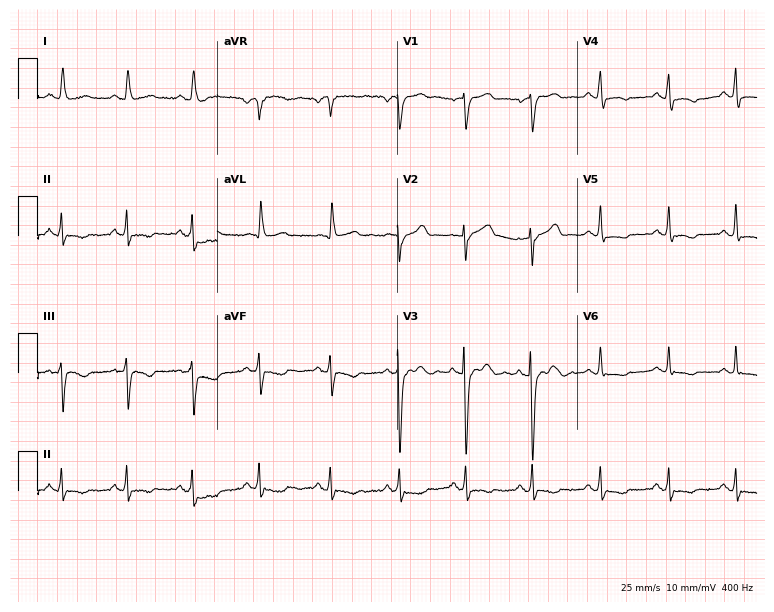
12-lead ECG from a 69-year-old female (7.3-second recording at 400 Hz). No first-degree AV block, right bundle branch block, left bundle branch block, sinus bradycardia, atrial fibrillation or sinus tachycardia recorded for this tracing. Findings outside these six are not listed.